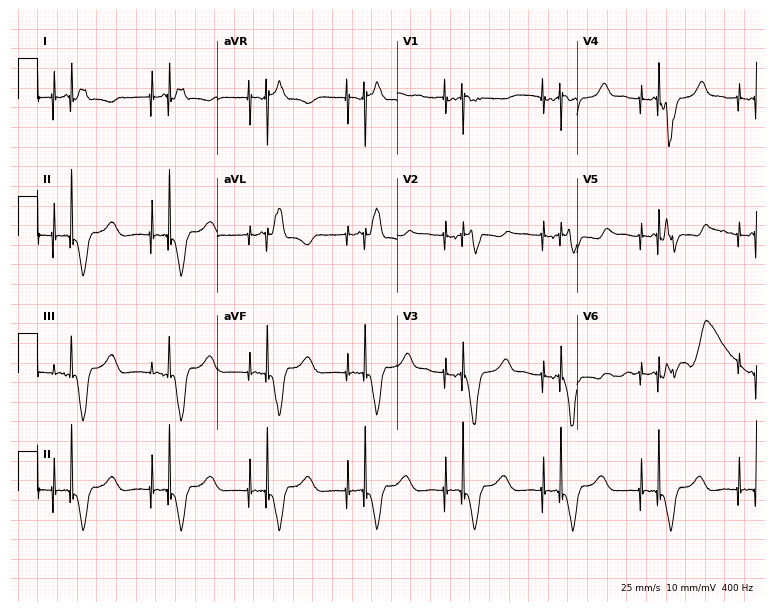
ECG (7.3-second recording at 400 Hz) — a woman, 57 years old. Screened for six findings — first-degree AV block, right bundle branch block, left bundle branch block, sinus bradycardia, atrial fibrillation, sinus tachycardia — none is recorded.